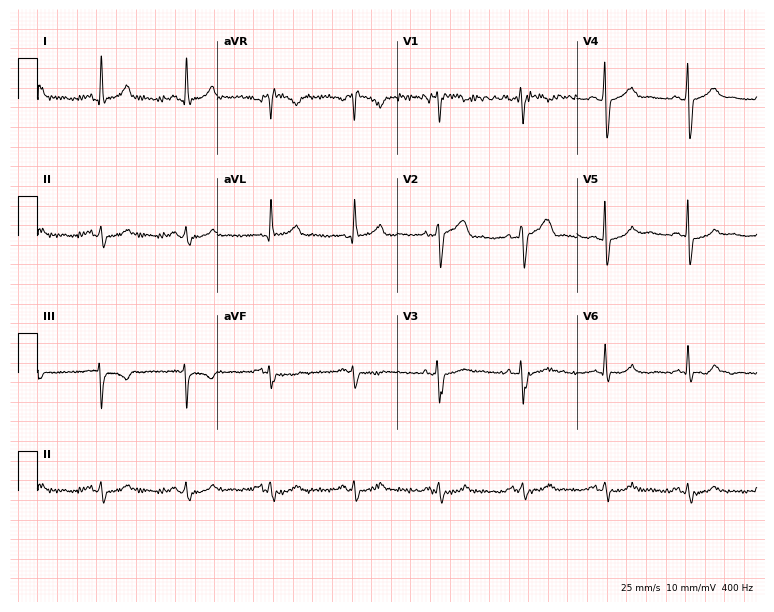
12-lead ECG from a male patient, 47 years old. Screened for six findings — first-degree AV block, right bundle branch block, left bundle branch block, sinus bradycardia, atrial fibrillation, sinus tachycardia — none is recorded.